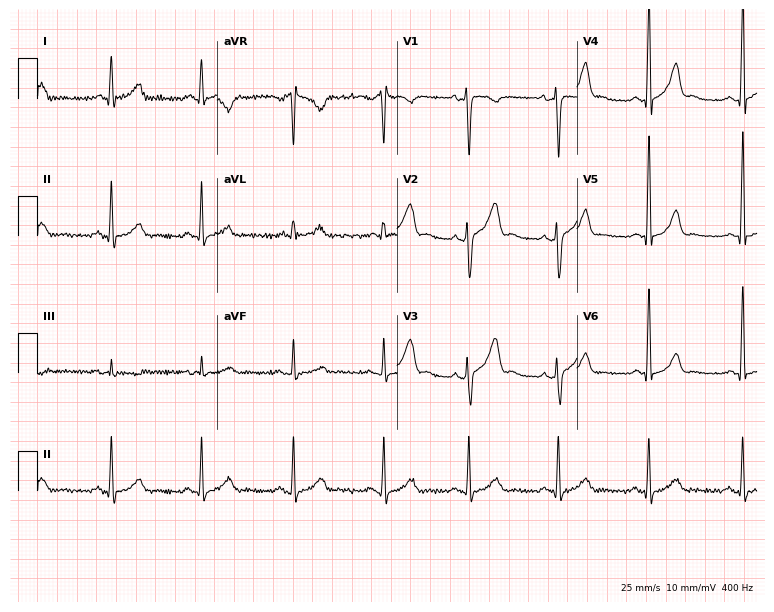
Electrocardiogram, a 40-year-old man. Of the six screened findings (first-degree AV block, right bundle branch block, left bundle branch block, sinus bradycardia, atrial fibrillation, sinus tachycardia), none is recorded.